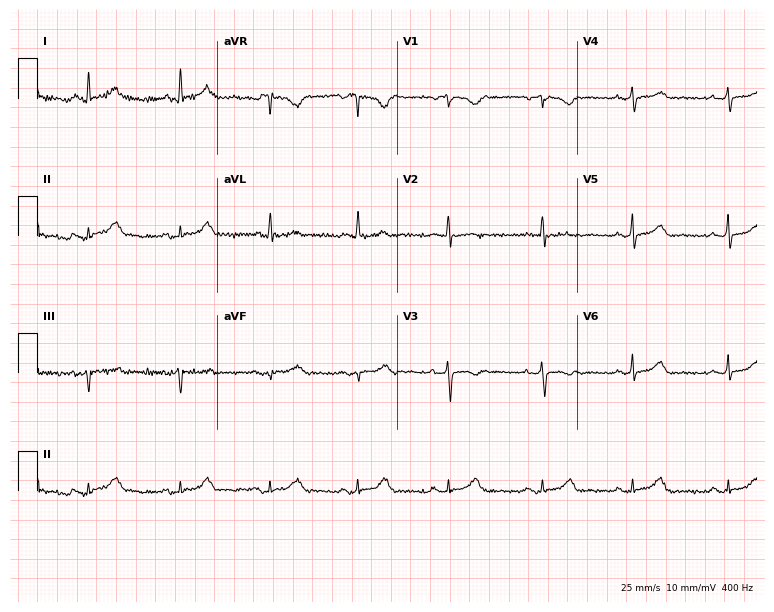
Electrocardiogram, a 59-year-old woman. Of the six screened findings (first-degree AV block, right bundle branch block (RBBB), left bundle branch block (LBBB), sinus bradycardia, atrial fibrillation (AF), sinus tachycardia), none is recorded. Other findings, if any, are not listed.